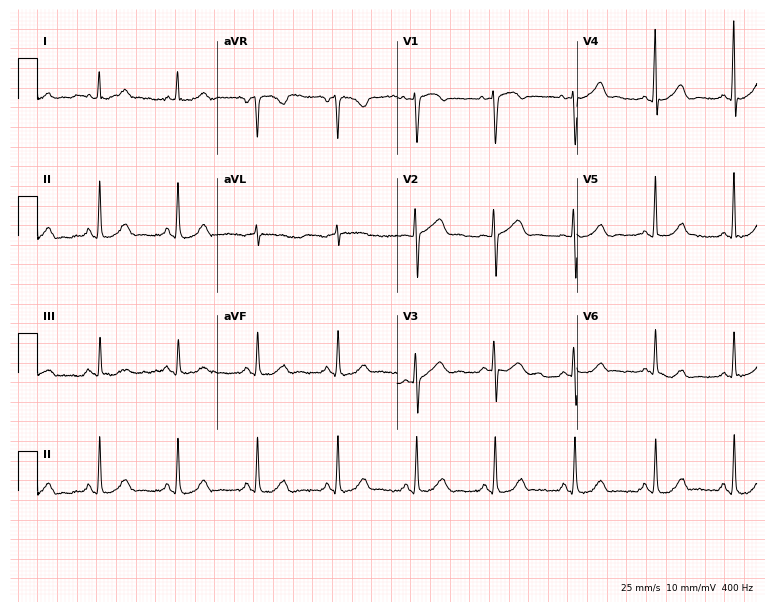
12-lead ECG from a 63-year-old woman. Recorded interpretation: within normal limits.